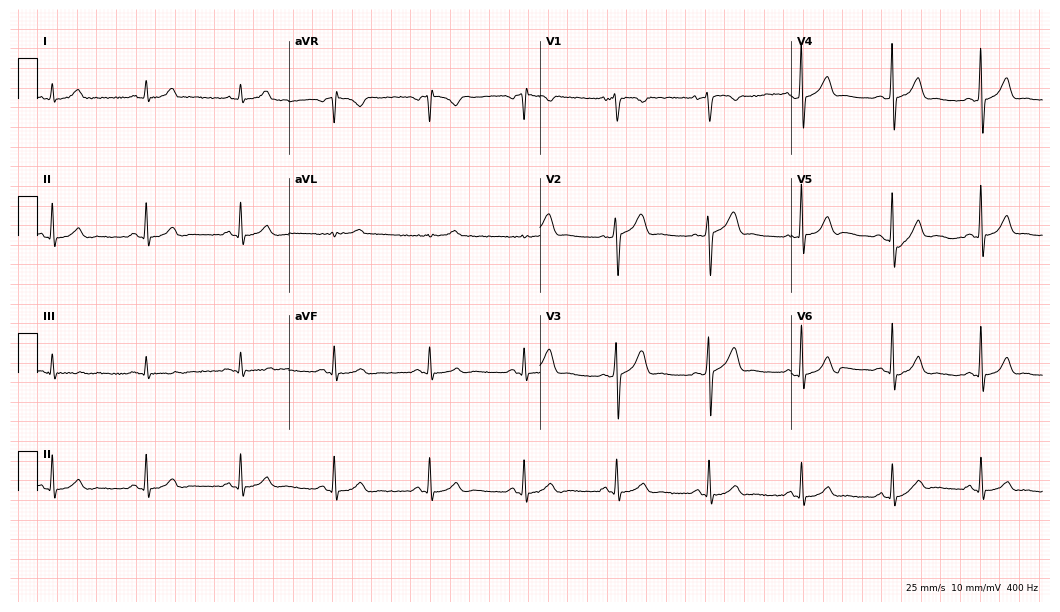
12-lead ECG from a 36-year-old male (10.2-second recording at 400 Hz). Recorded interpretation: within normal limits.